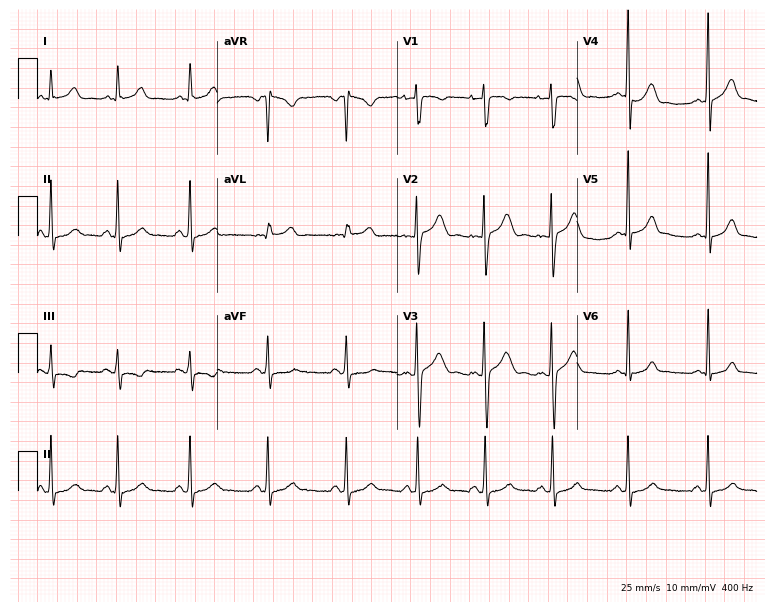
12-lead ECG (7.3-second recording at 400 Hz) from a 20-year-old woman. Labelled as a normal ECG.